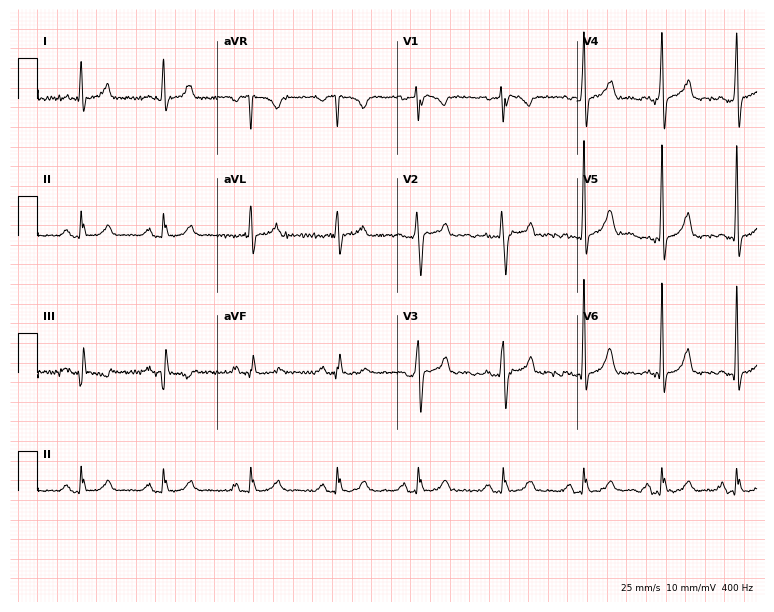
Resting 12-lead electrocardiogram (7.3-second recording at 400 Hz). Patient: a female, 49 years old. Read as a normal ECG.